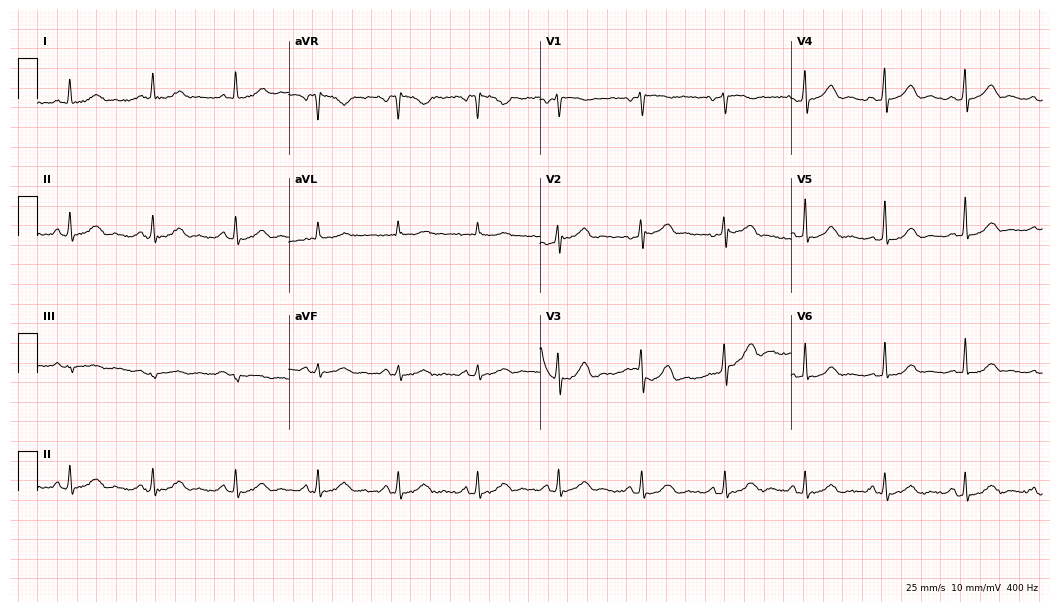
Electrocardiogram, a 34-year-old woman. Overall reading on record: normal ECG.